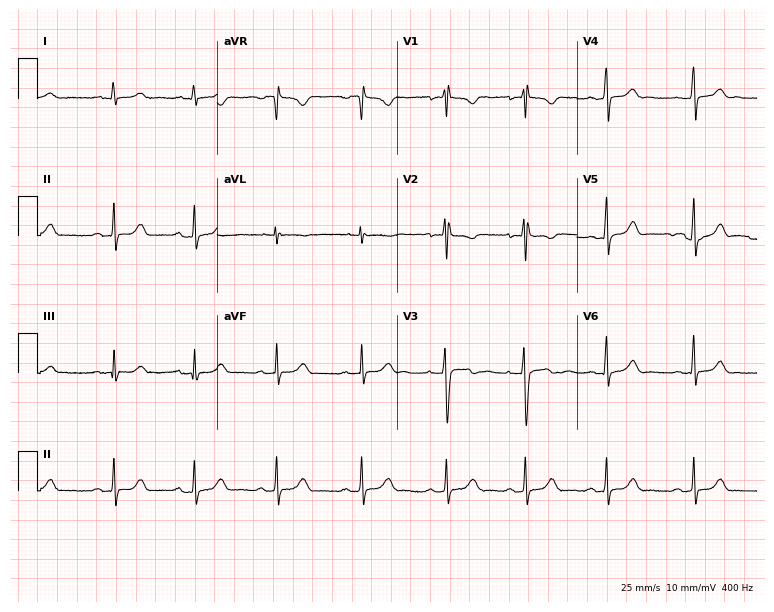
12-lead ECG from a woman, 18 years old. Recorded interpretation: within normal limits.